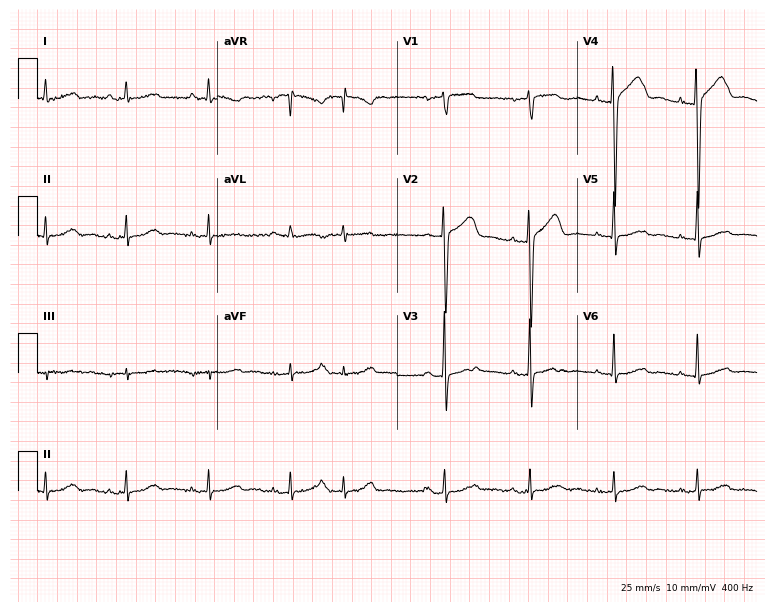
Resting 12-lead electrocardiogram. Patient: a woman, 84 years old. Read as a normal ECG.